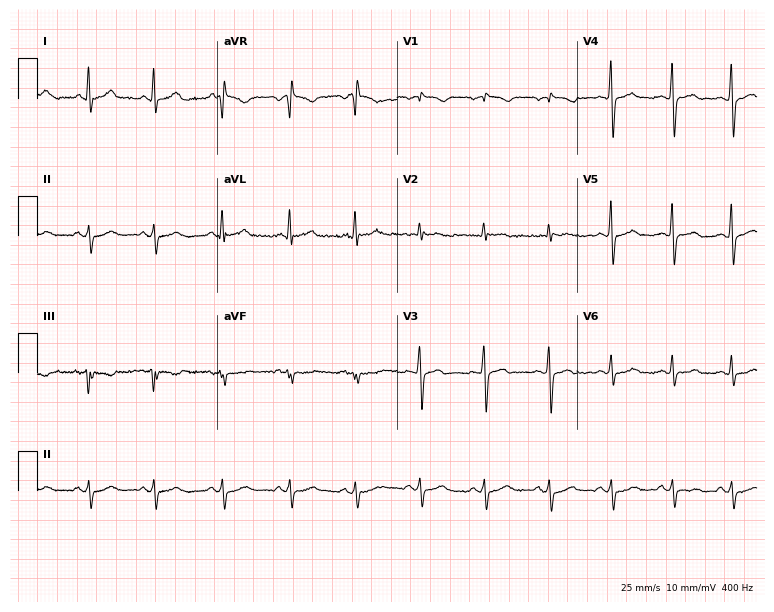
Resting 12-lead electrocardiogram (7.3-second recording at 400 Hz). Patient: a 58-year-old woman. None of these six findings is recorded: first-degree AV block, right bundle branch block, left bundle branch block, sinus bradycardia, atrial fibrillation, sinus tachycardia. Findings outside these six are not listed.